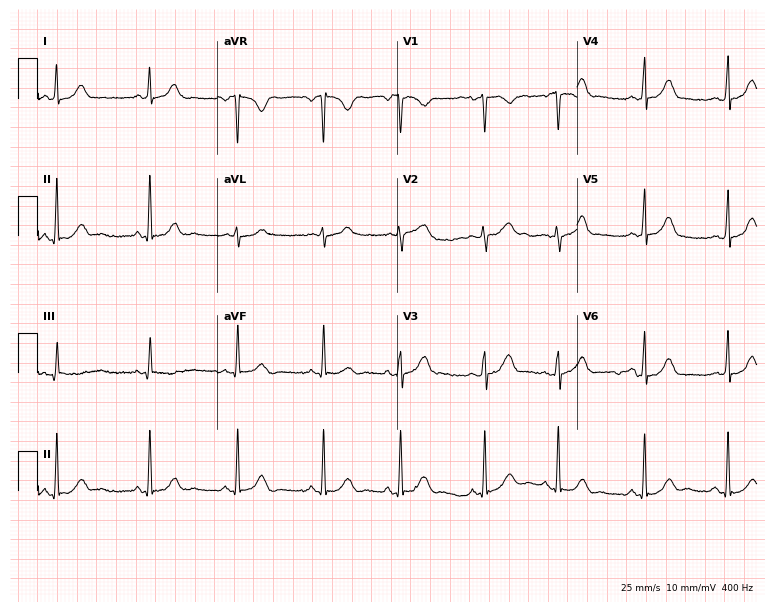
ECG — a female patient, 22 years old. Labelled as a normal ECG.